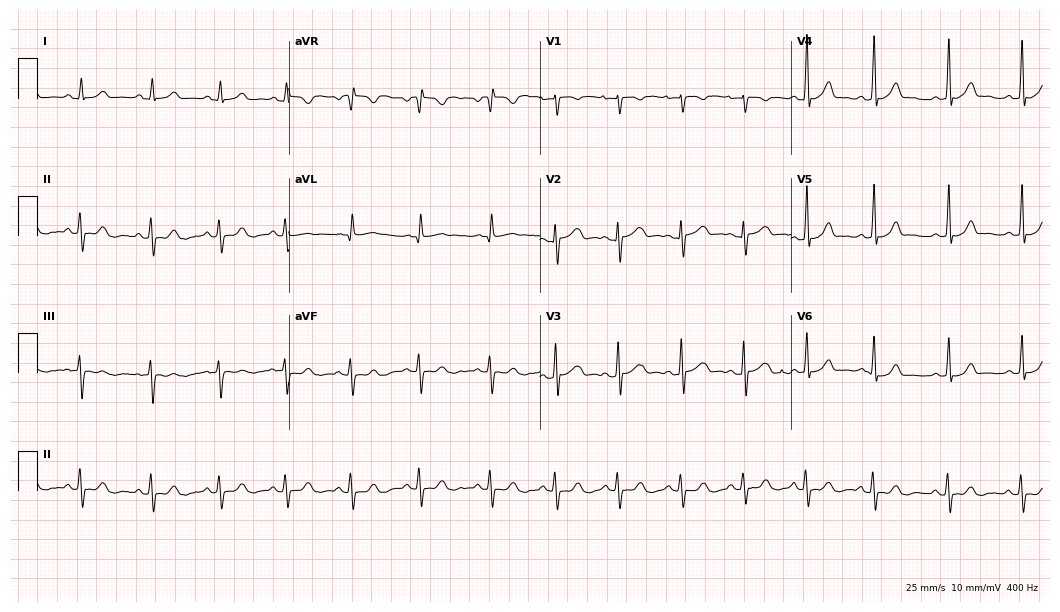
12-lead ECG from a woman, 17 years old. Labelled as a normal ECG.